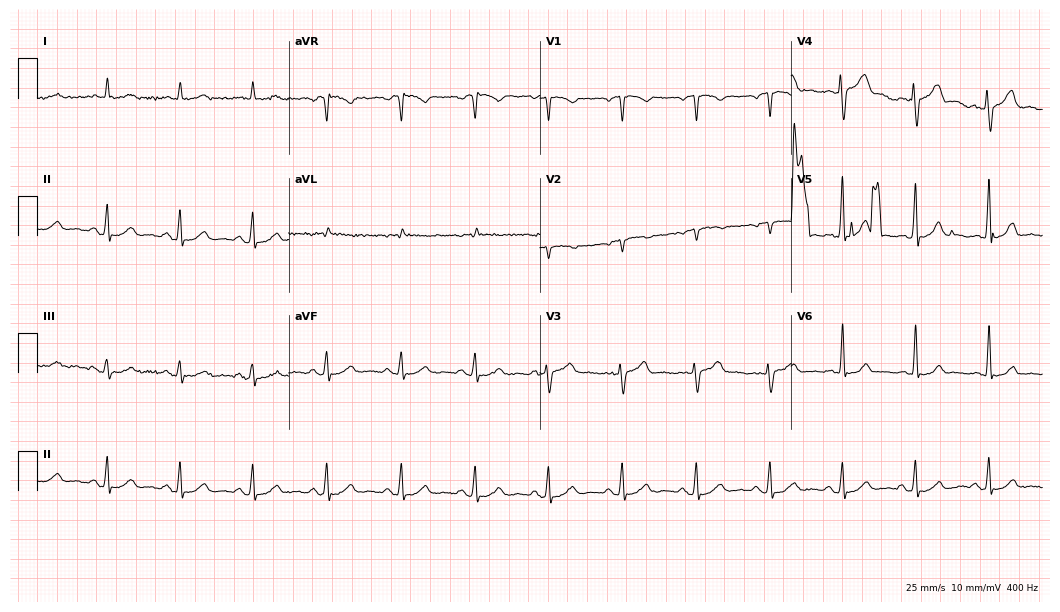
ECG (10.2-second recording at 400 Hz) — a male patient, 67 years old. Labelled as a normal ECG.